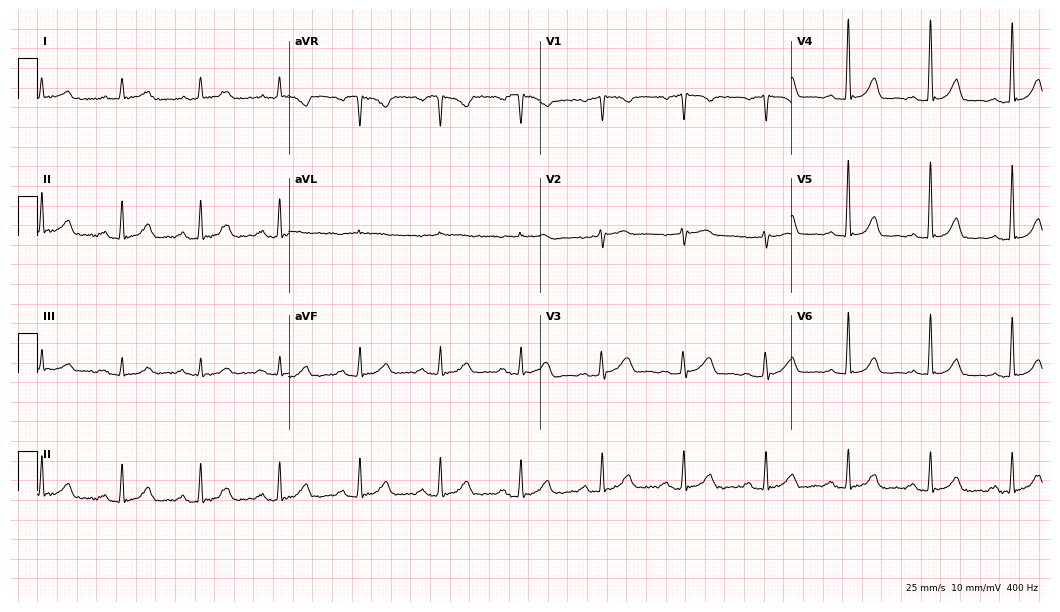
Electrocardiogram, a 78-year-old man. Interpretation includes first-degree AV block.